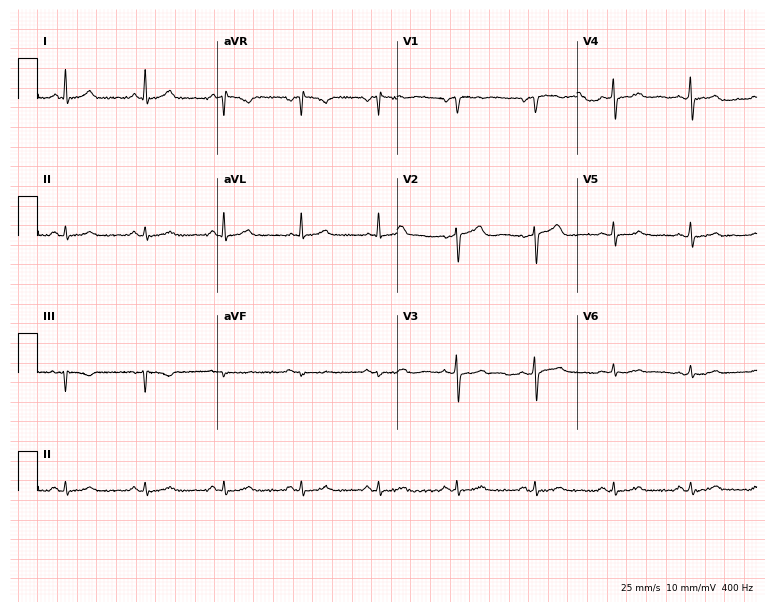
12-lead ECG from a male, 71 years old. No first-degree AV block, right bundle branch block (RBBB), left bundle branch block (LBBB), sinus bradycardia, atrial fibrillation (AF) or sinus tachycardia recorded for this tracing.